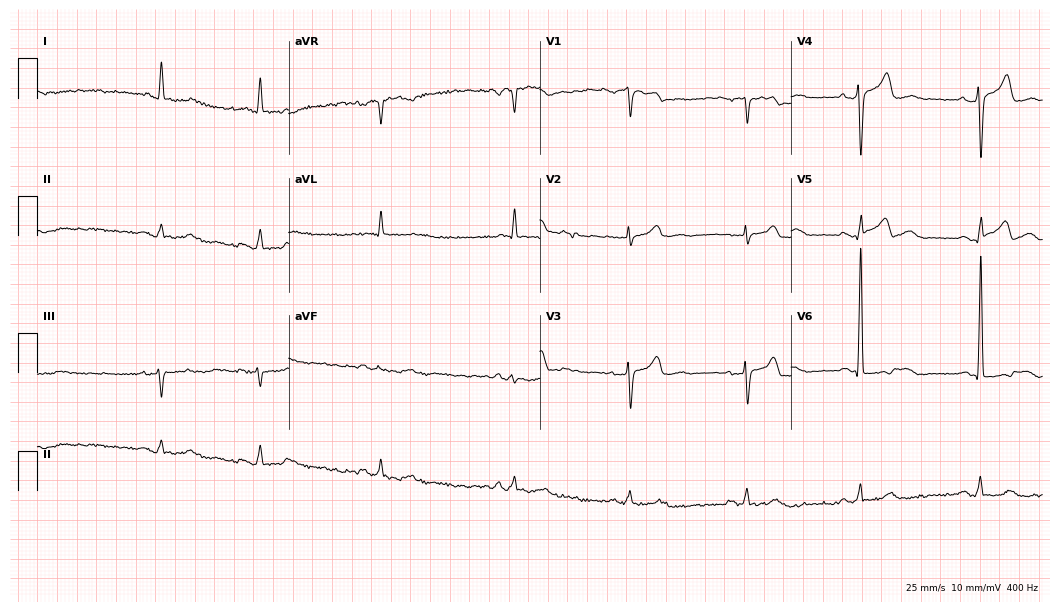
Resting 12-lead electrocardiogram (10.2-second recording at 400 Hz). Patient: a man, 69 years old. The tracing shows sinus bradycardia (a sinus rate of 50 beats per minute or less).